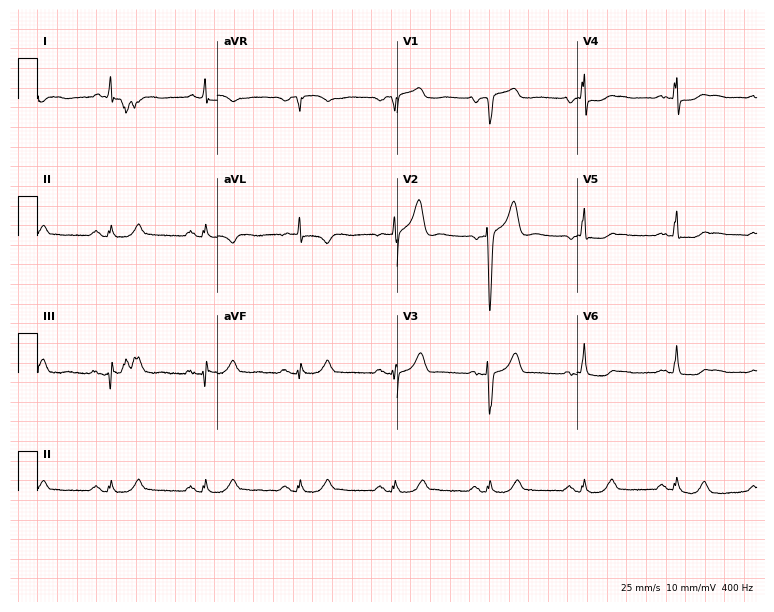
Standard 12-lead ECG recorded from a 69-year-old male patient (7.3-second recording at 400 Hz). None of these six findings is recorded: first-degree AV block, right bundle branch block, left bundle branch block, sinus bradycardia, atrial fibrillation, sinus tachycardia. Findings outside these six are not listed.